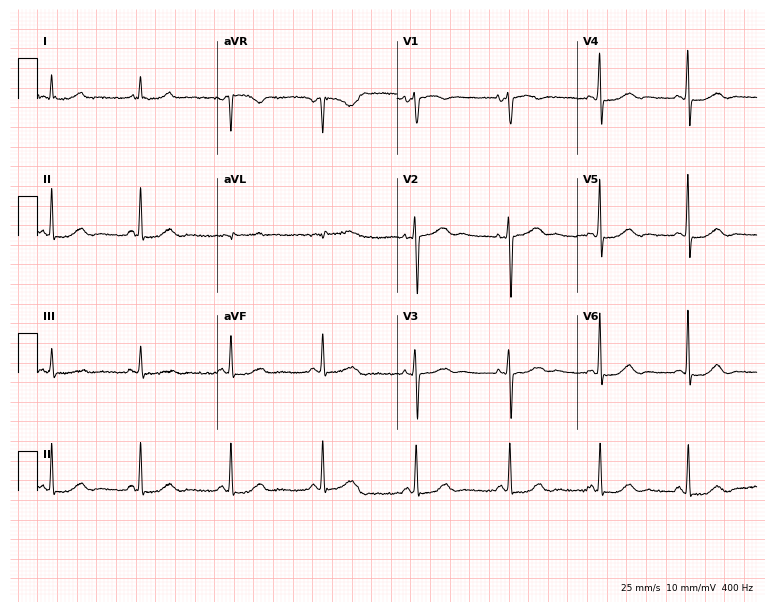
Electrocardiogram (7.3-second recording at 400 Hz), a 60-year-old female patient. Overall reading on record: normal ECG.